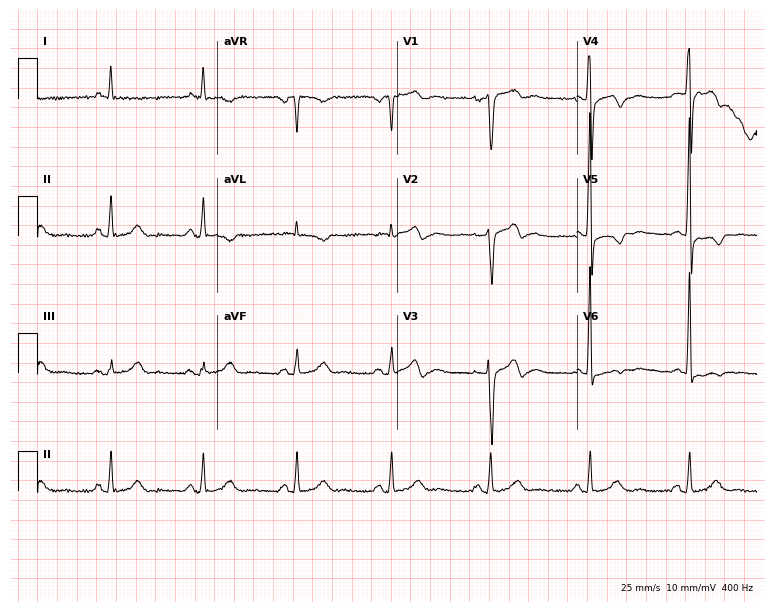
Resting 12-lead electrocardiogram. Patient: a male, 56 years old. None of these six findings is recorded: first-degree AV block, right bundle branch block, left bundle branch block, sinus bradycardia, atrial fibrillation, sinus tachycardia. Findings outside these six are not listed.